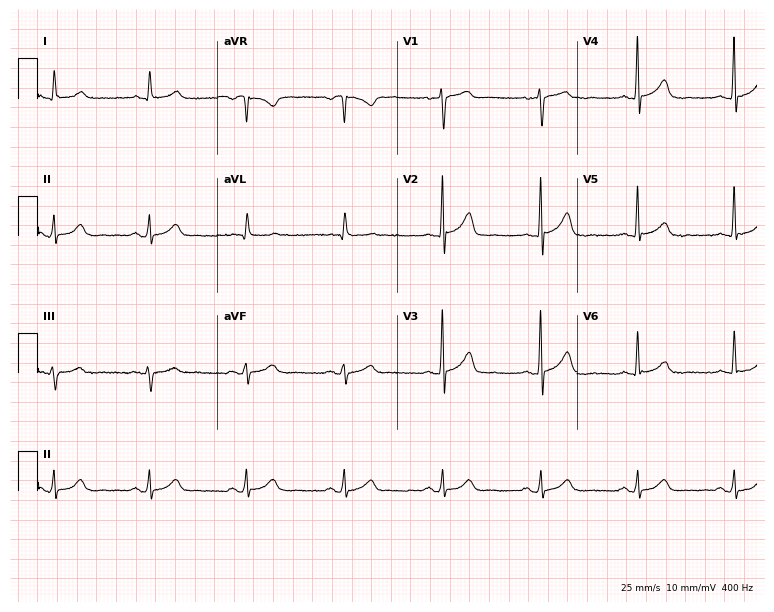
Resting 12-lead electrocardiogram (7.3-second recording at 400 Hz). Patient: a 59-year-old male. None of these six findings is recorded: first-degree AV block, right bundle branch block, left bundle branch block, sinus bradycardia, atrial fibrillation, sinus tachycardia. Findings outside these six are not listed.